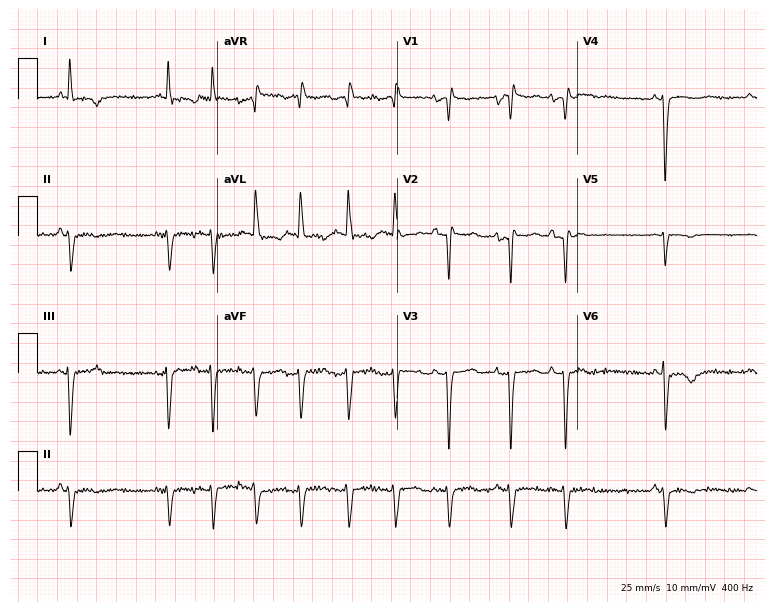
12-lead ECG from a woman, 84 years old. Screened for six findings — first-degree AV block, right bundle branch block, left bundle branch block, sinus bradycardia, atrial fibrillation, sinus tachycardia — none is recorded. Findings outside these six are not listed.